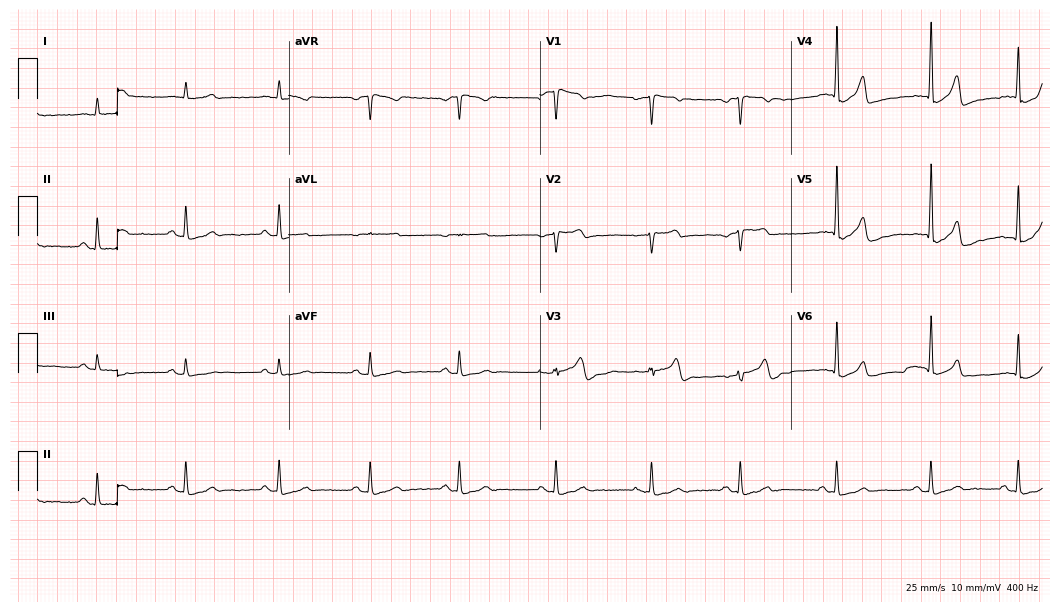
ECG — a 69-year-old male patient. Screened for six findings — first-degree AV block, right bundle branch block (RBBB), left bundle branch block (LBBB), sinus bradycardia, atrial fibrillation (AF), sinus tachycardia — none is recorded.